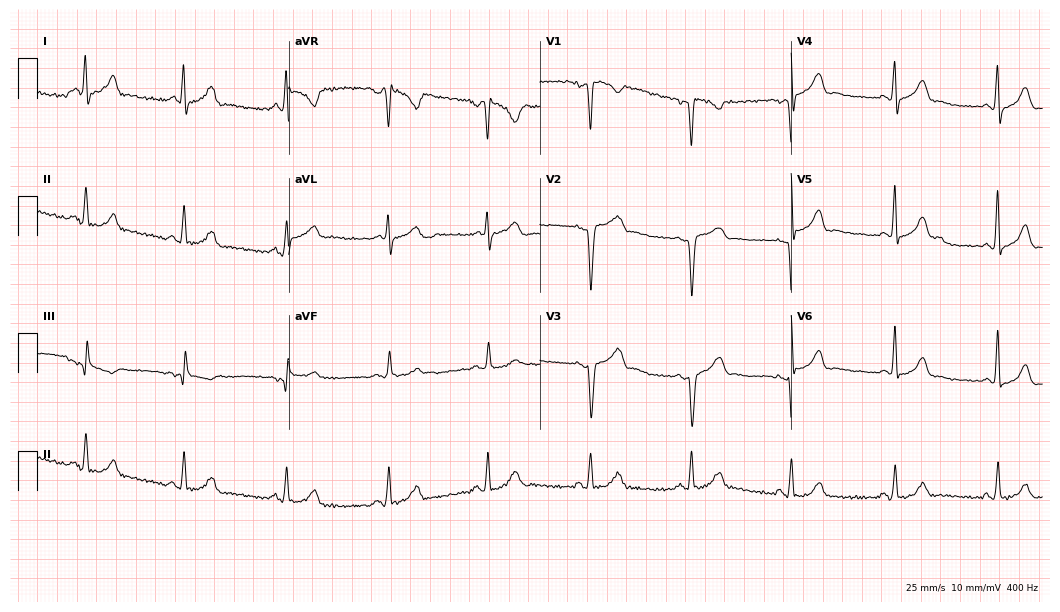
Electrocardiogram, a male, 43 years old. Of the six screened findings (first-degree AV block, right bundle branch block, left bundle branch block, sinus bradycardia, atrial fibrillation, sinus tachycardia), none is recorded. Only these six findings were labelled.